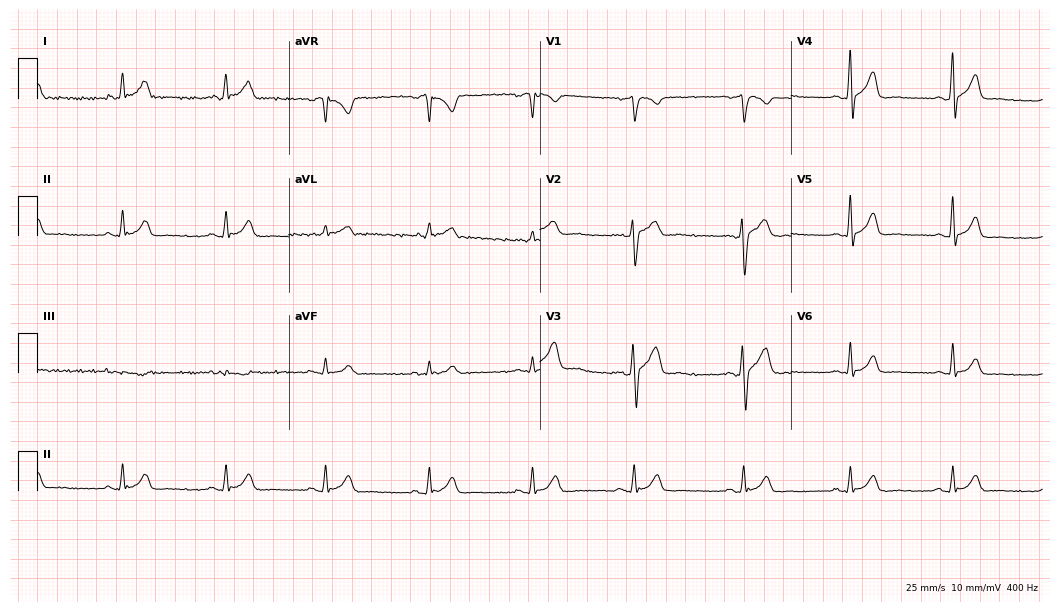
Resting 12-lead electrocardiogram. Patient: a male, 29 years old. Read as a normal ECG.